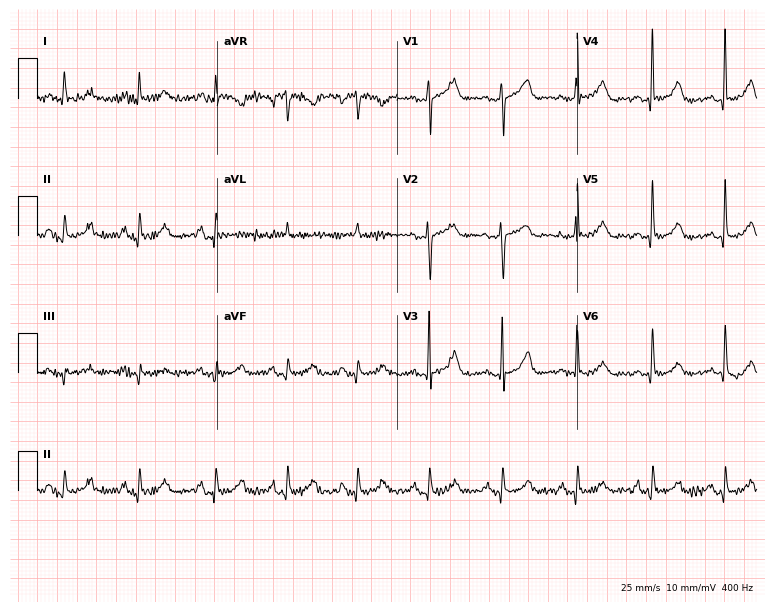
Resting 12-lead electrocardiogram. Patient: a 64-year-old woman. None of these six findings is recorded: first-degree AV block, right bundle branch block (RBBB), left bundle branch block (LBBB), sinus bradycardia, atrial fibrillation (AF), sinus tachycardia. Other findings, if any, are not listed.